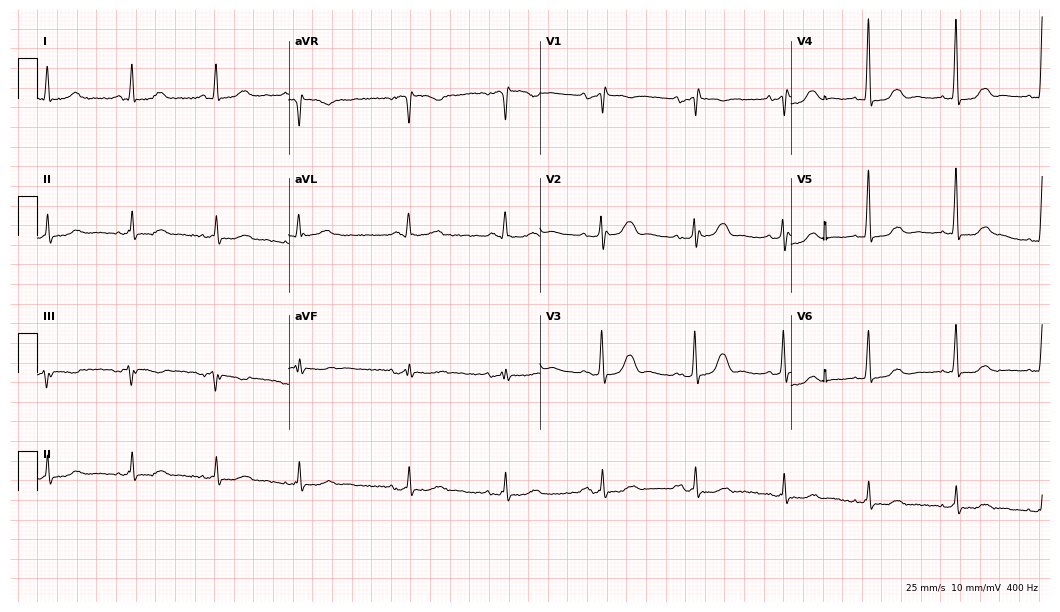
12-lead ECG from a 79-year-old female patient (10.2-second recording at 400 Hz). No first-degree AV block, right bundle branch block (RBBB), left bundle branch block (LBBB), sinus bradycardia, atrial fibrillation (AF) or sinus tachycardia recorded for this tracing.